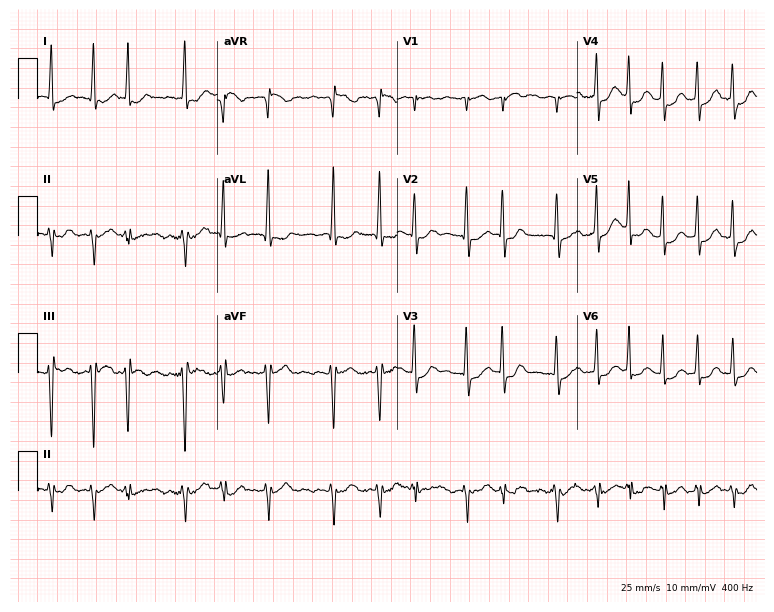
Resting 12-lead electrocardiogram (7.3-second recording at 400 Hz). Patient: a 75-year-old female. The tracing shows atrial fibrillation (AF).